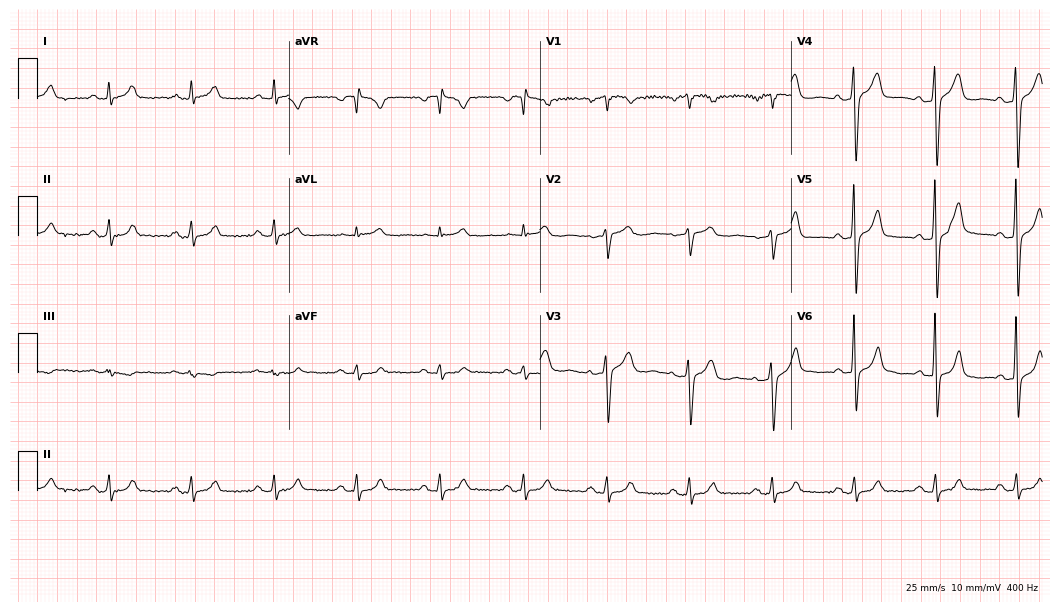
Resting 12-lead electrocardiogram (10.2-second recording at 400 Hz). Patient: a male, 58 years old. Read as a normal ECG.